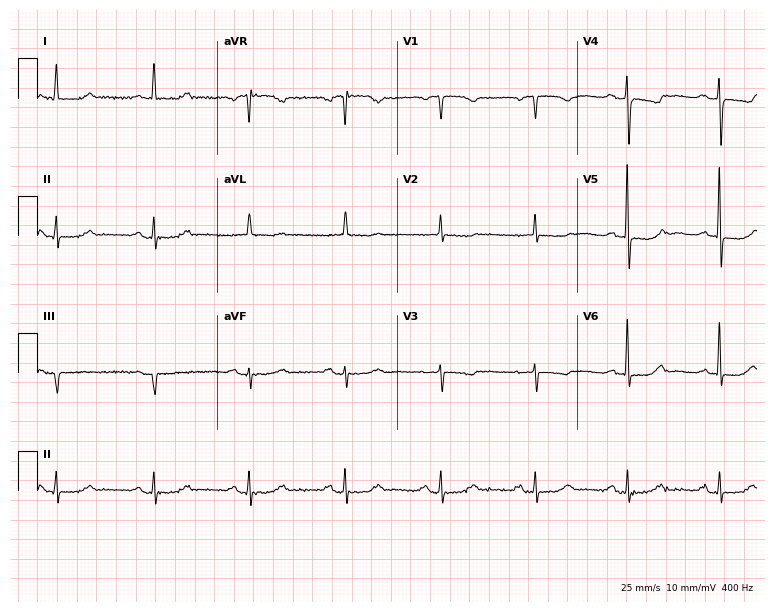
Resting 12-lead electrocardiogram. Patient: a 72-year-old female. None of these six findings is recorded: first-degree AV block, right bundle branch block, left bundle branch block, sinus bradycardia, atrial fibrillation, sinus tachycardia. Only these six findings were labelled.